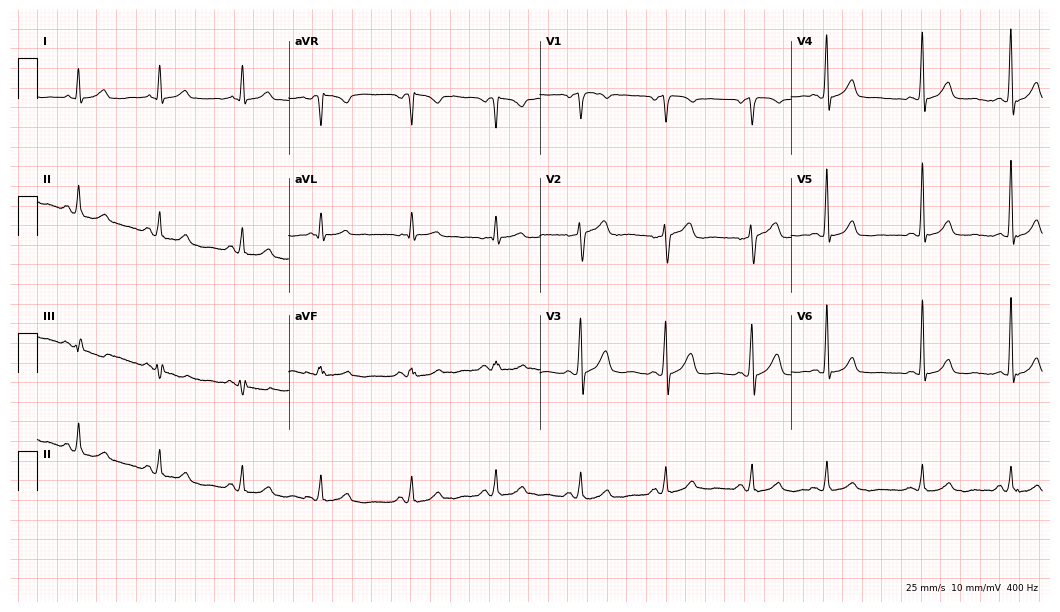
Resting 12-lead electrocardiogram. Patient: a 76-year-old man. Read as a normal ECG.